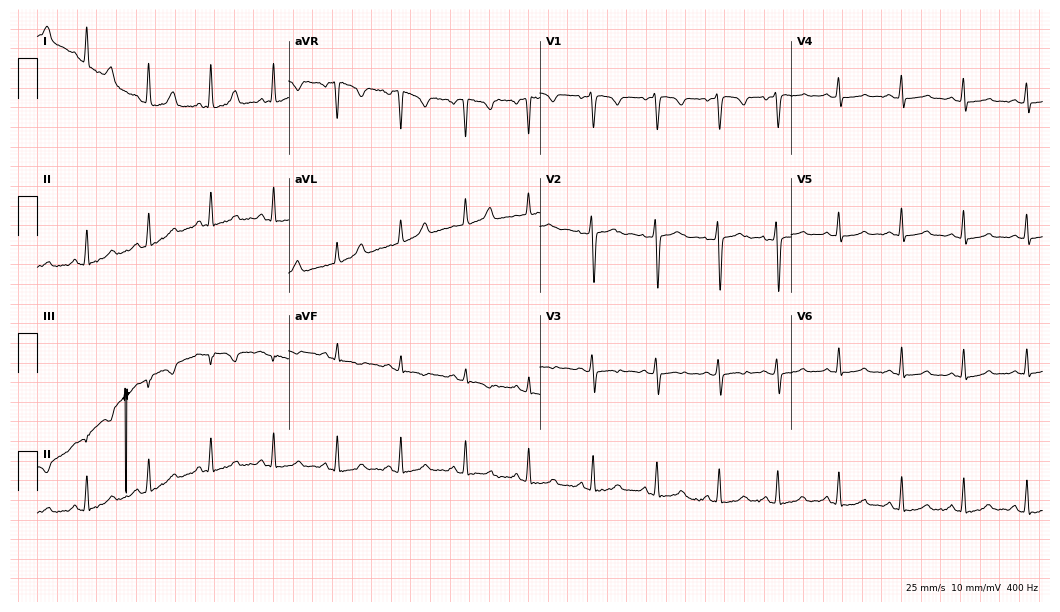
Resting 12-lead electrocardiogram. Patient: a woman, 30 years old. None of these six findings is recorded: first-degree AV block, right bundle branch block, left bundle branch block, sinus bradycardia, atrial fibrillation, sinus tachycardia.